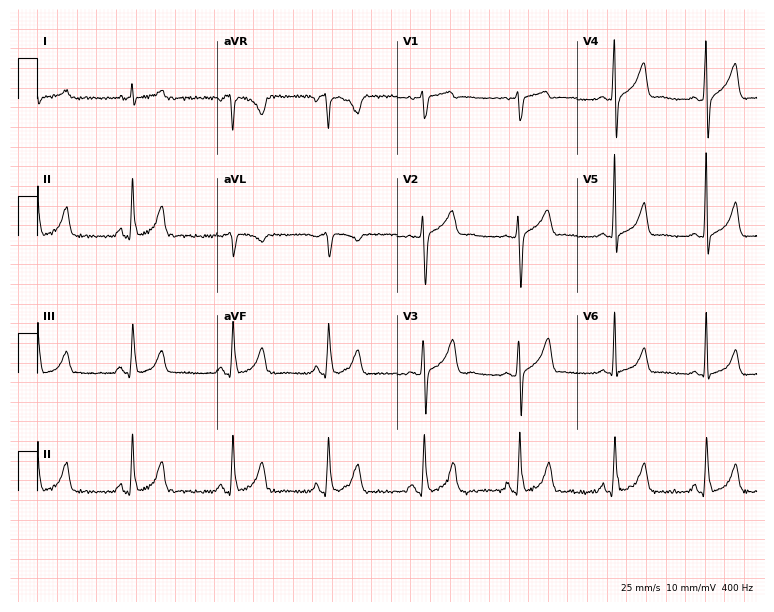
Standard 12-lead ECG recorded from a 60-year-old man (7.3-second recording at 400 Hz). None of these six findings is recorded: first-degree AV block, right bundle branch block (RBBB), left bundle branch block (LBBB), sinus bradycardia, atrial fibrillation (AF), sinus tachycardia.